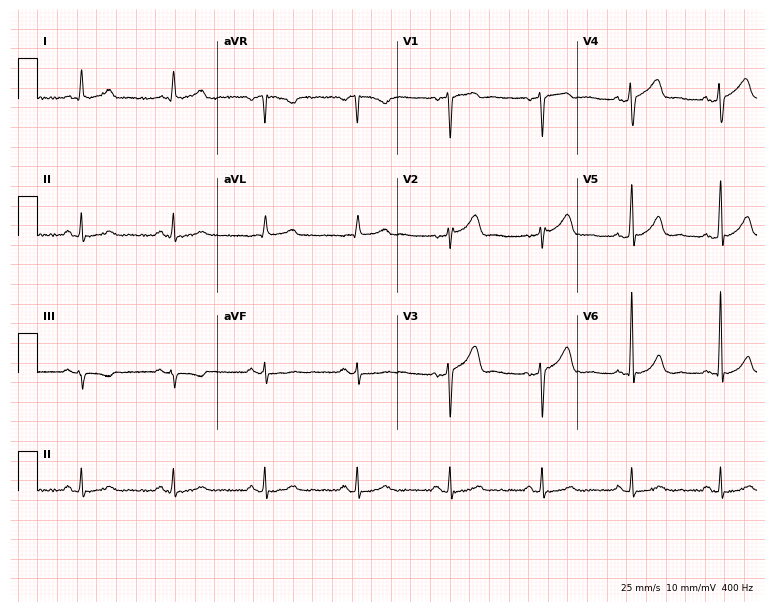
12-lead ECG (7.3-second recording at 400 Hz) from a 57-year-old male patient. Labelled as a normal ECG.